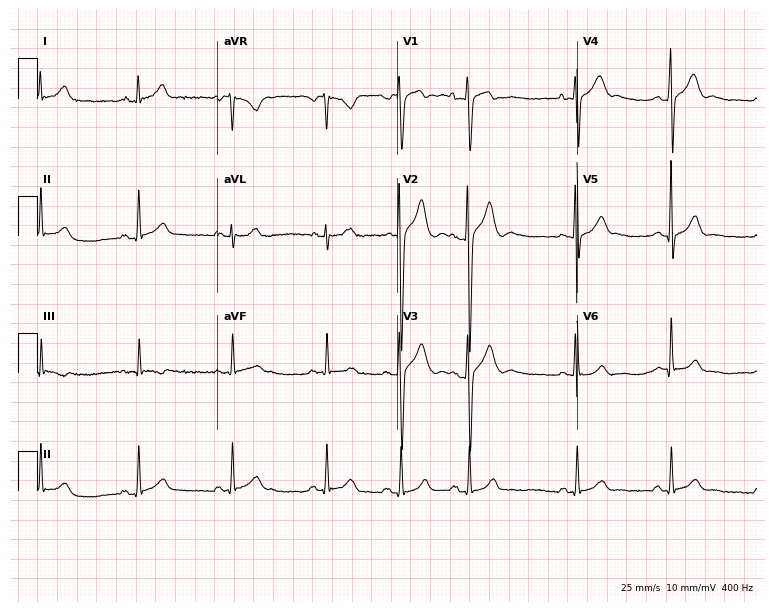
12-lead ECG from a 24-year-old man. Screened for six findings — first-degree AV block, right bundle branch block, left bundle branch block, sinus bradycardia, atrial fibrillation, sinus tachycardia — none is recorded. Only these six findings were labelled.